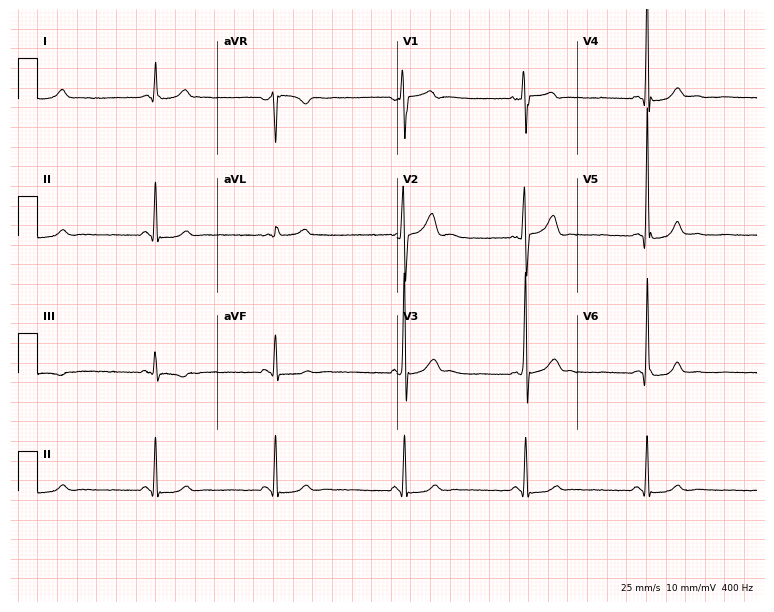
ECG (7.3-second recording at 400 Hz) — a man, 29 years old. Findings include sinus bradycardia (a sinus rate of 50 beats per minute or less).